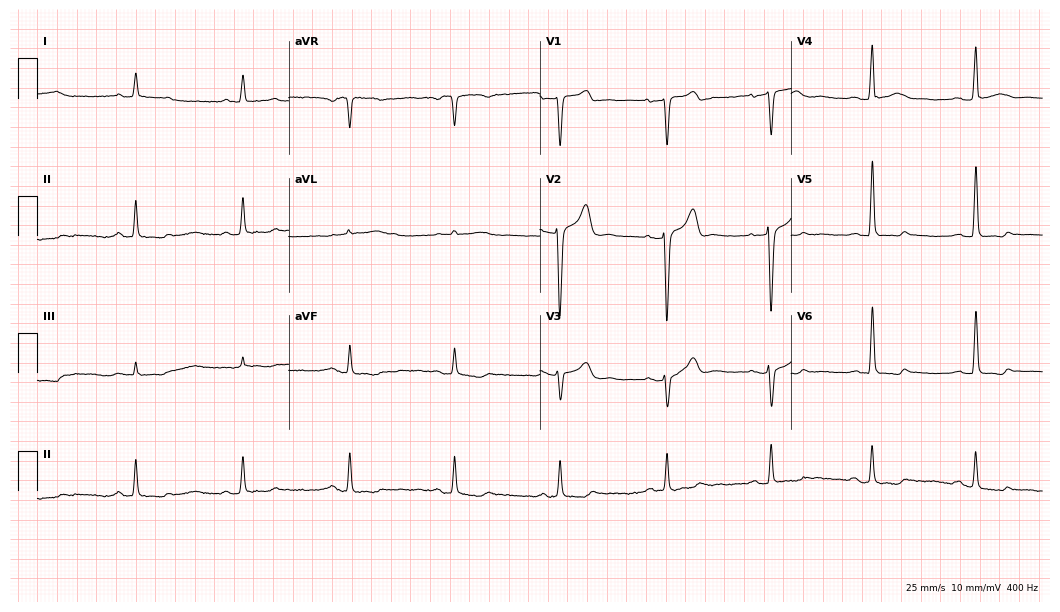
12-lead ECG from a male patient, 55 years old. Screened for six findings — first-degree AV block, right bundle branch block (RBBB), left bundle branch block (LBBB), sinus bradycardia, atrial fibrillation (AF), sinus tachycardia — none is recorded.